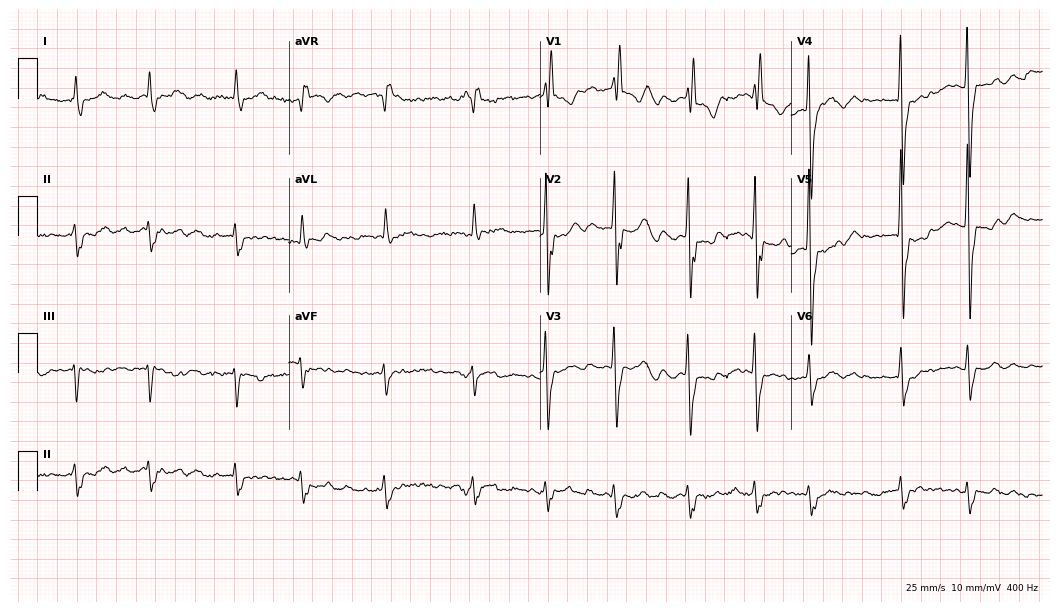
ECG — a 79-year-old female. Screened for six findings — first-degree AV block, right bundle branch block (RBBB), left bundle branch block (LBBB), sinus bradycardia, atrial fibrillation (AF), sinus tachycardia — none is recorded. Findings outside these six are not listed.